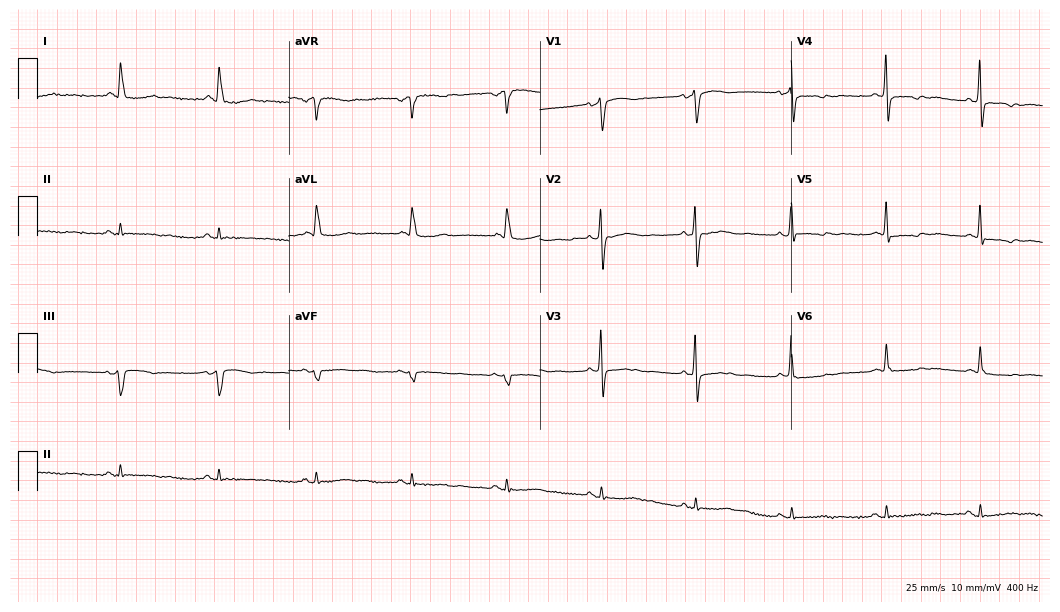
12-lead ECG from a 71-year-old female (10.2-second recording at 400 Hz). No first-degree AV block, right bundle branch block, left bundle branch block, sinus bradycardia, atrial fibrillation or sinus tachycardia recorded for this tracing.